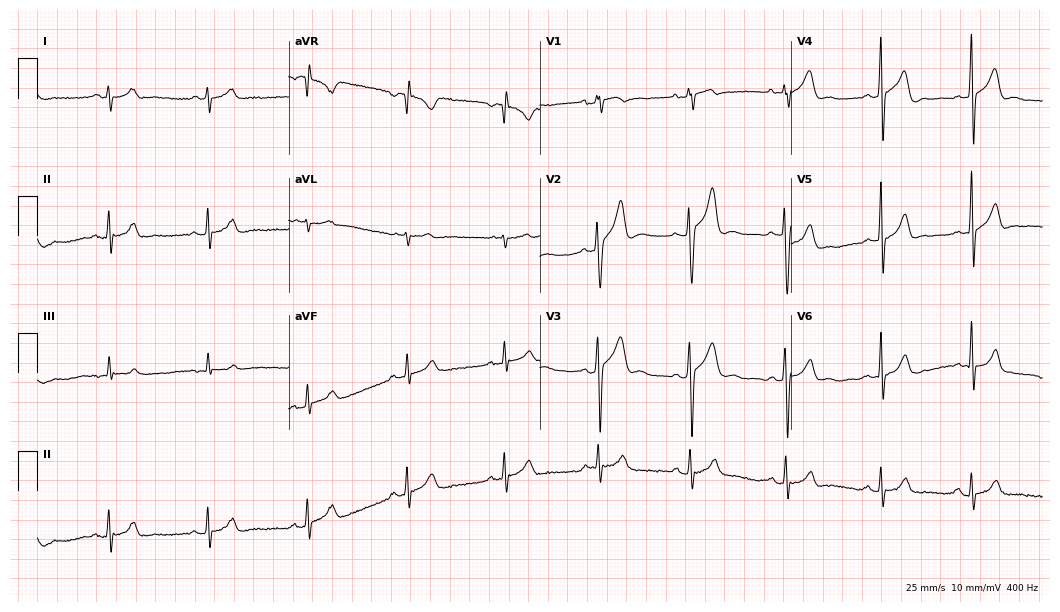
Resting 12-lead electrocardiogram. Patient: a male, 17 years old. Read as a normal ECG.